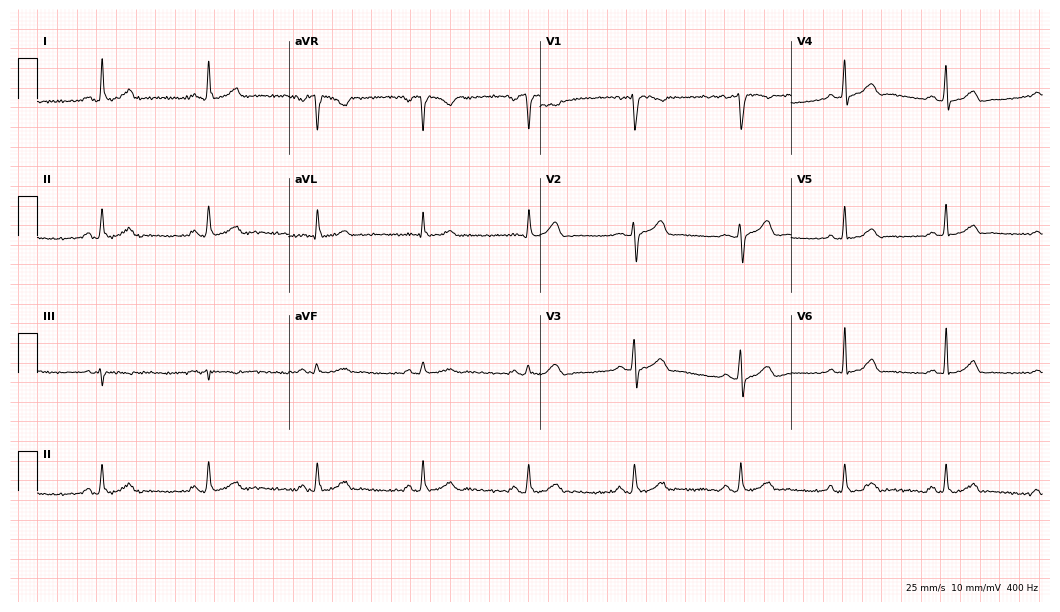
12-lead ECG (10.2-second recording at 400 Hz) from a 42-year-old female. Labelled as a normal ECG.